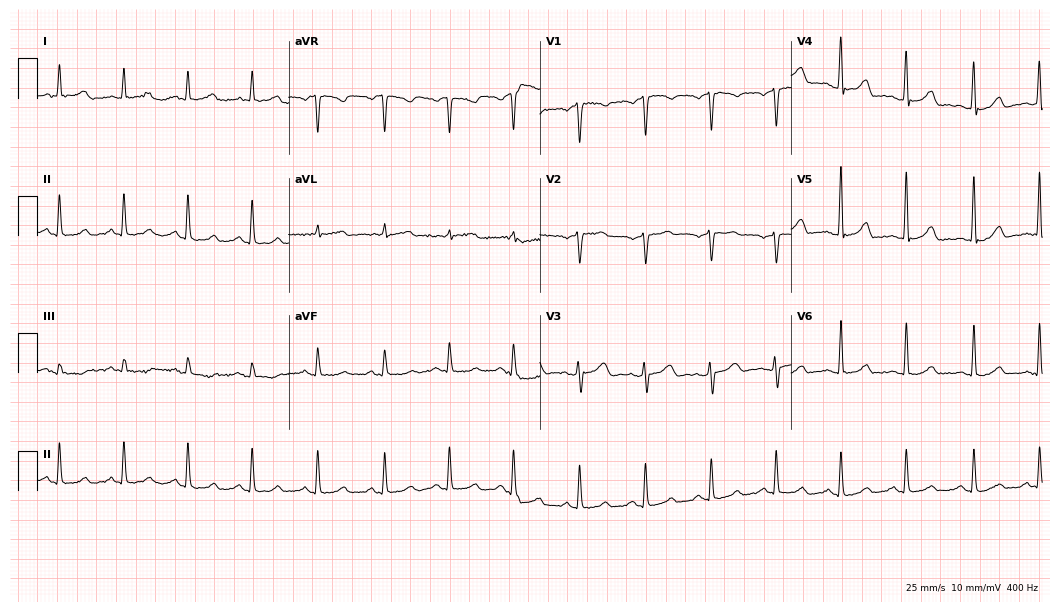
Resting 12-lead electrocardiogram. Patient: a female, 48 years old. Read as a normal ECG.